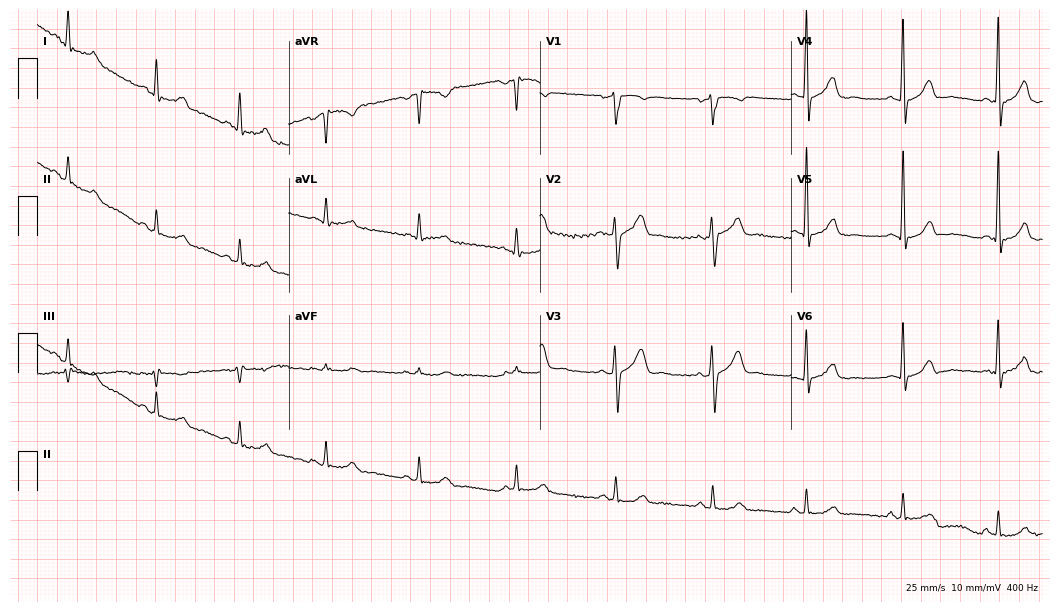
Standard 12-lead ECG recorded from a male, 47 years old (10.2-second recording at 400 Hz). Read as a normal ECG.